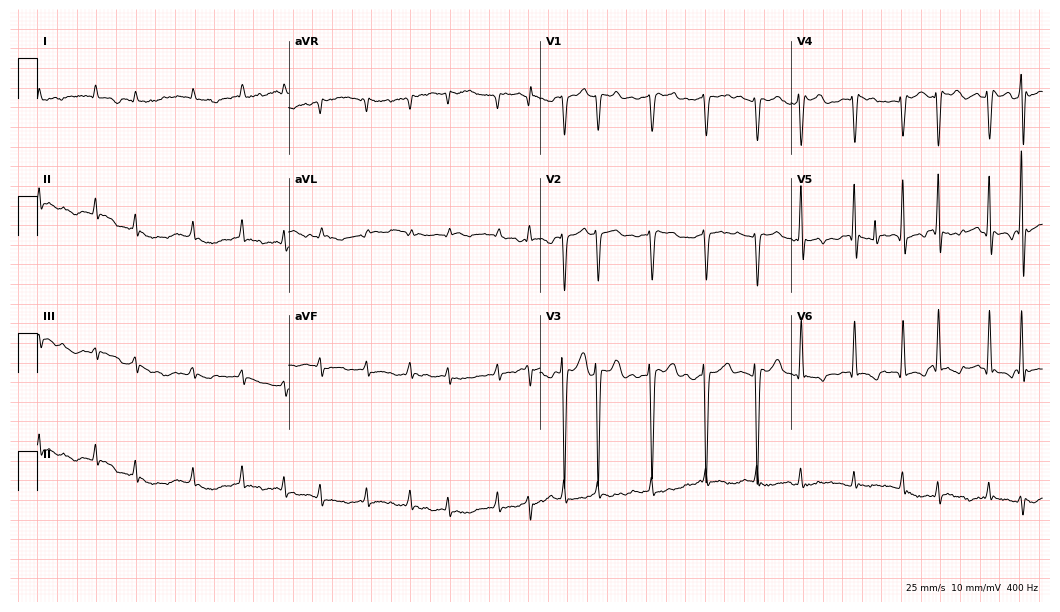
Electrocardiogram, a 52-year-old man. Interpretation includes atrial fibrillation (AF).